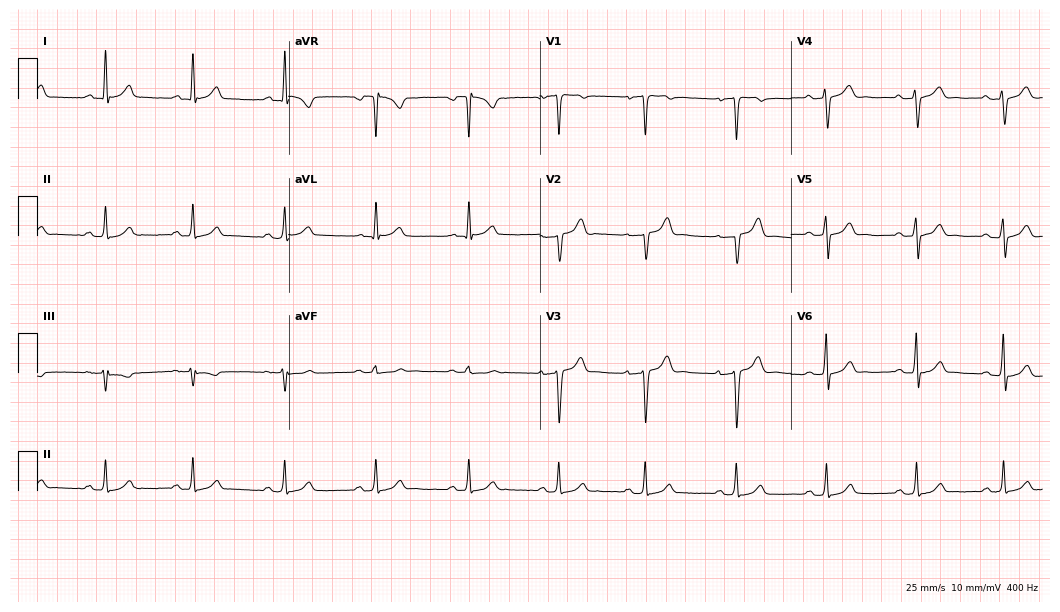
ECG (10.2-second recording at 400 Hz) — a male, 35 years old. Screened for six findings — first-degree AV block, right bundle branch block, left bundle branch block, sinus bradycardia, atrial fibrillation, sinus tachycardia — none is recorded.